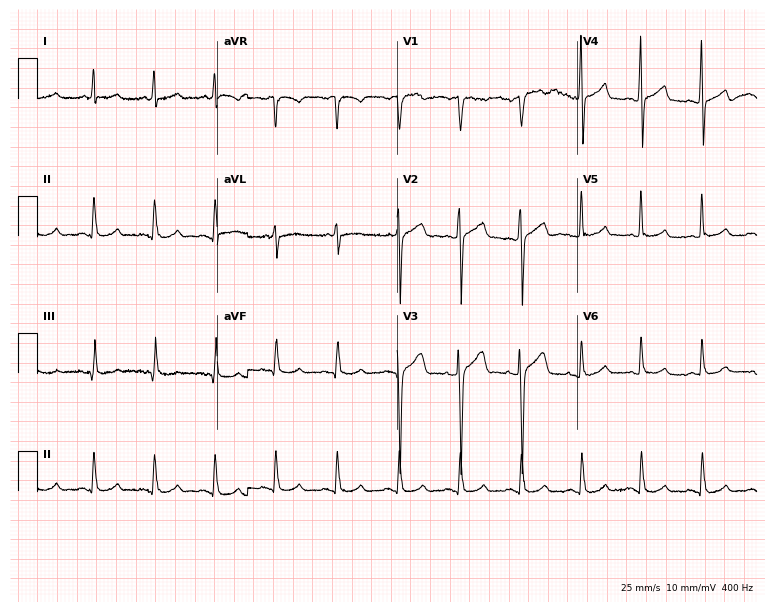
ECG — a male, 50 years old. Screened for six findings — first-degree AV block, right bundle branch block, left bundle branch block, sinus bradycardia, atrial fibrillation, sinus tachycardia — none is recorded.